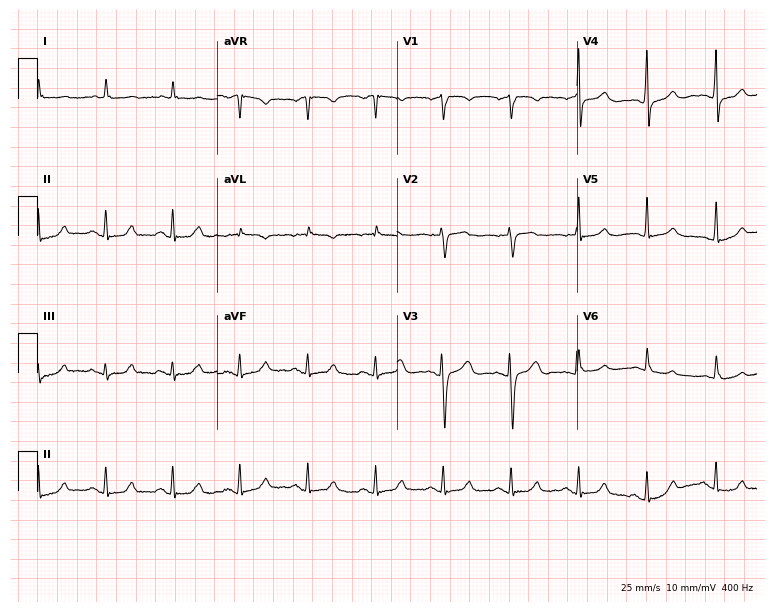
12-lead ECG from a woman, 73 years old. Recorded interpretation: within normal limits.